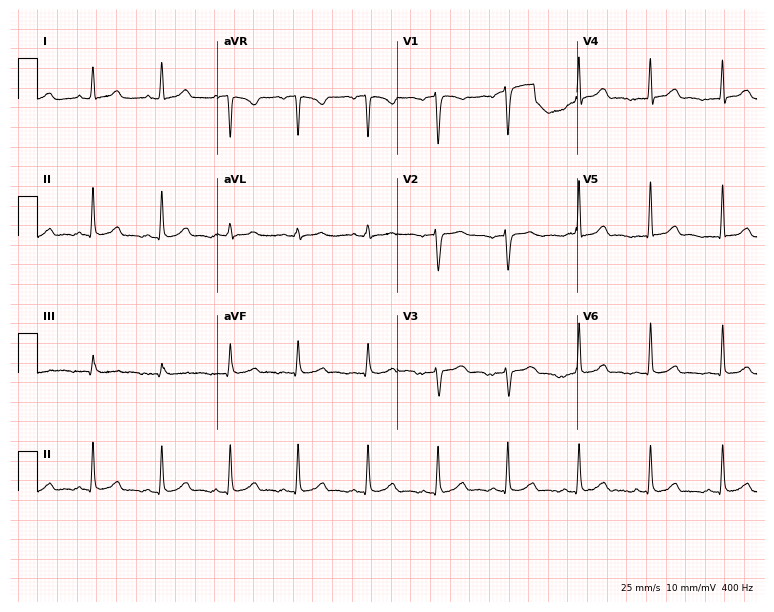
12-lead ECG (7.3-second recording at 400 Hz) from a female, 37 years old. Screened for six findings — first-degree AV block, right bundle branch block, left bundle branch block, sinus bradycardia, atrial fibrillation, sinus tachycardia — none is recorded.